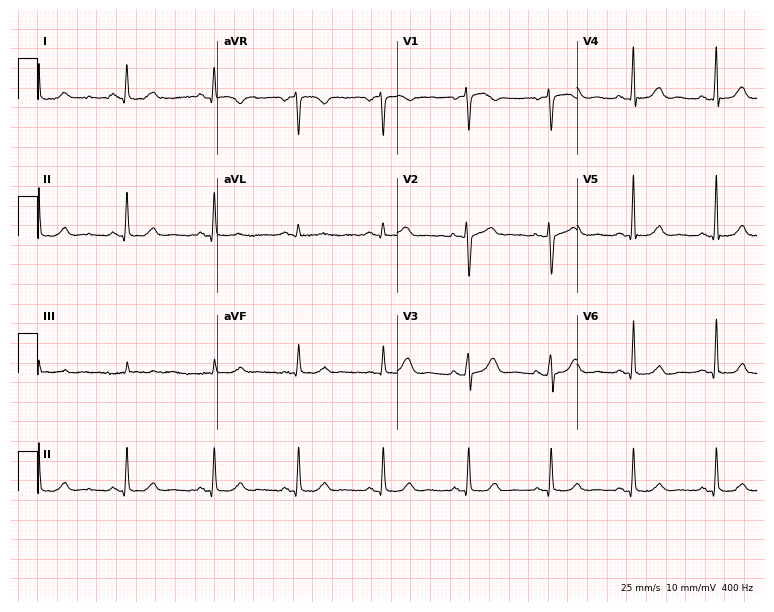
Resting 12-lead electrocardiogram. Patient: a female, 51 years old. Read as a normal ECG.